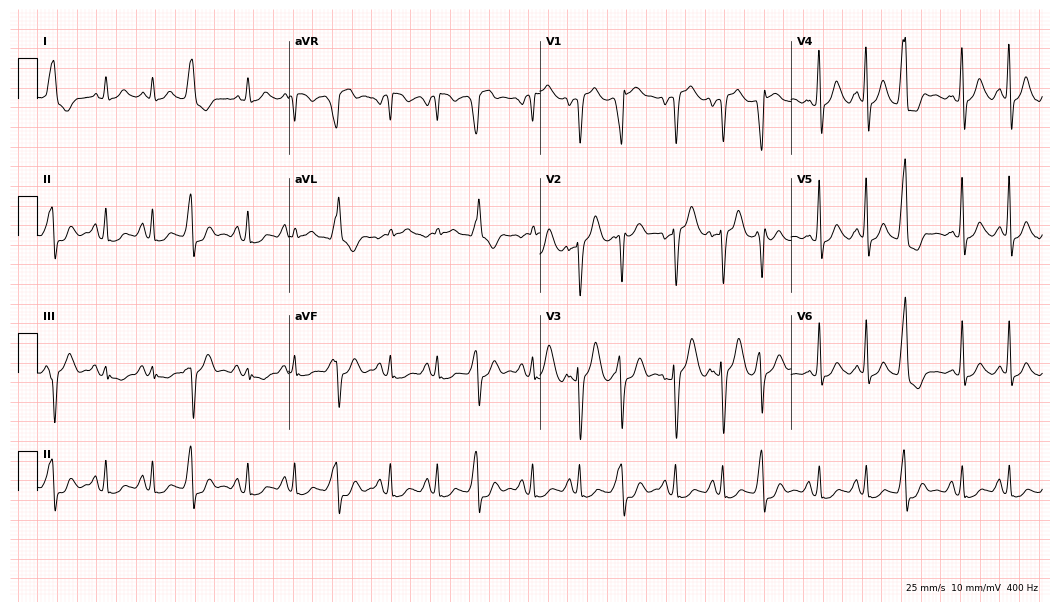
Standard 12-lead ECG recorded from a man, 68 years old (10.2-second recording at 400 Hz). The tracing shows sinus tachycardia (a sinus rate of 100 beats per minute or more).